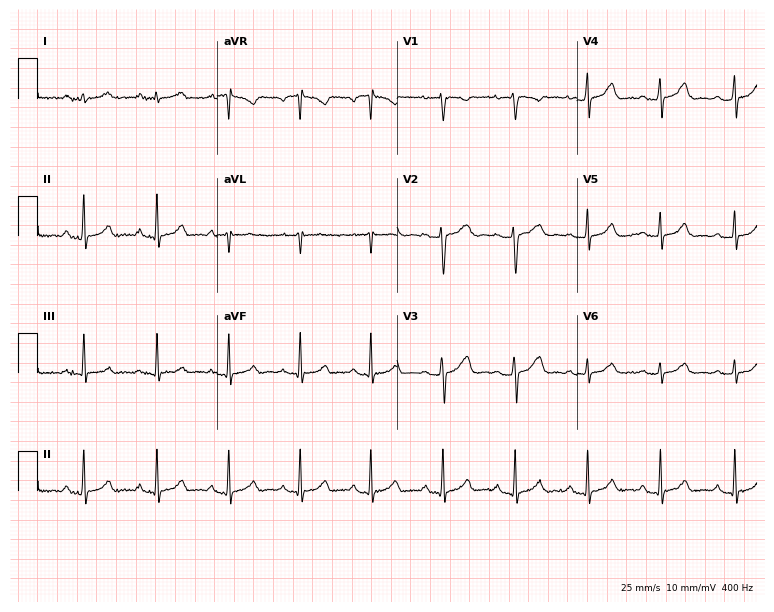
ECG (7.3-second recording at 400 Hz) — a 29-year-old female patient. Screened for six findings — first-degree AV block, right bundle branch block (RBBB), left bundle branch block (LBBB), sinus bradycardia, atrial fibrillation (AF), sinus tachycardia — none is recorded. Only these six findings were labelled.